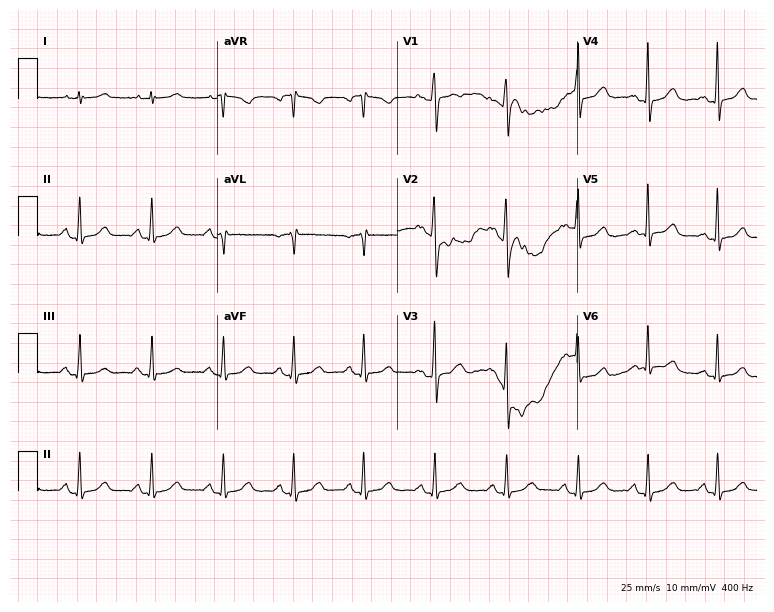
ECG — a female patient, 51 years old. Labelled as a normal ECG.